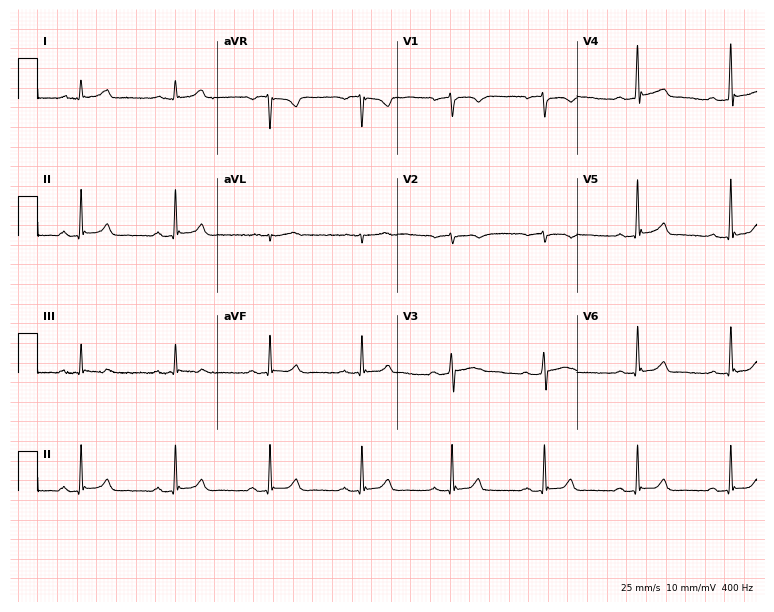
ECG — a 28-year-old male. Screened for six findings — first-degree AV block, right bundle branch block (RBBB), left bundle branch block (LBBB), sinus bradycardia, atrial fibrillation (AF), sinus tachycardia — none is recorded. Only these six findings were labelled.